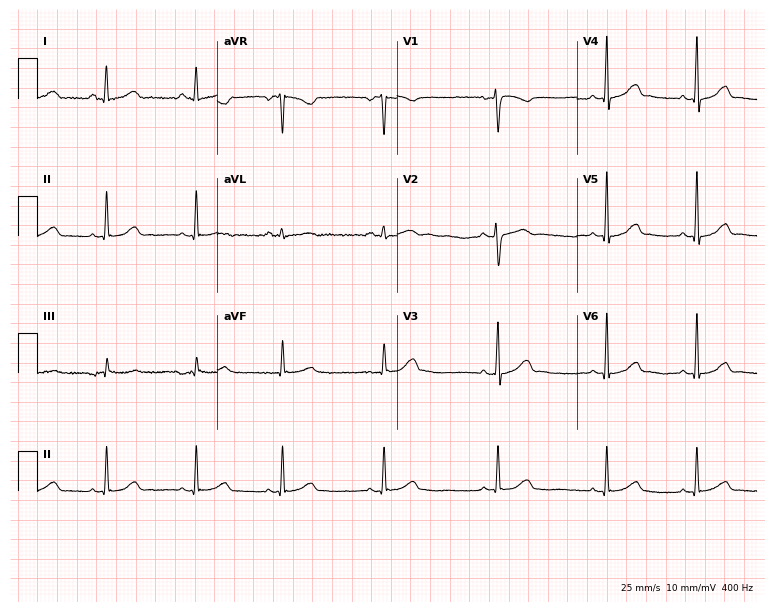
12-lead ECG from a woman, 27 years old (7.3-second recording at 400 Hz). No first-degree AV block, right bundle branch block, left bundle branch block, sinus bradycardia, atrial fibrillation or sinus tachycardia recorded for this tracing. Other findings, if any, are not listed.